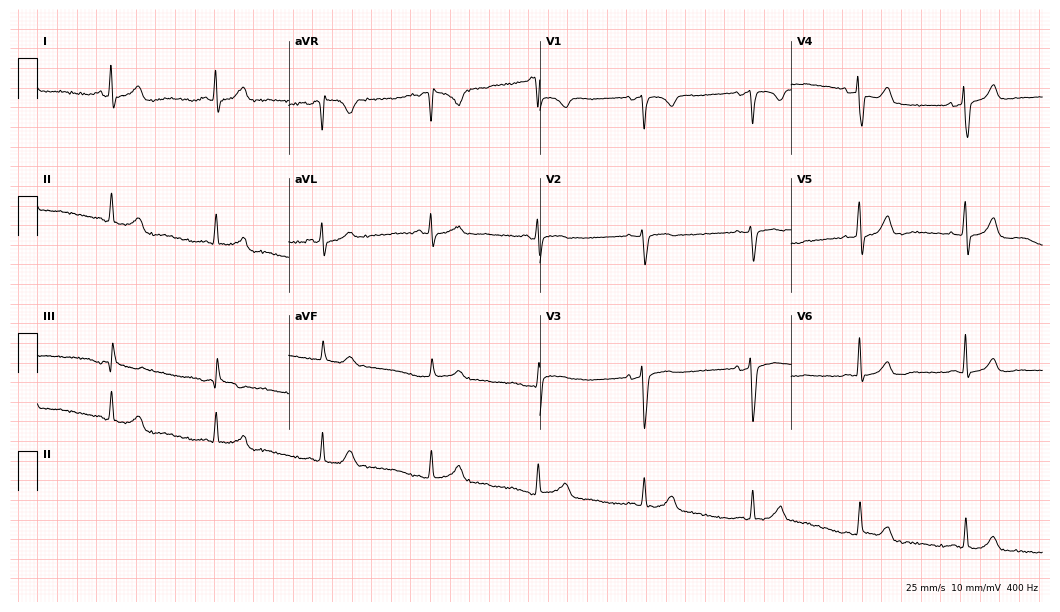
Electrocardiogram (10.2-second recording at 400 Hz), a 74-year-old male patient. Of the six screened findings (first-degree AV block, right bundle branch block (RBBB), left bundle branch block (LBBB), sinus bradycardia, atrial fibrillation (AF), sinus tachycardia), none is recorded. Only these six findings were labelled.